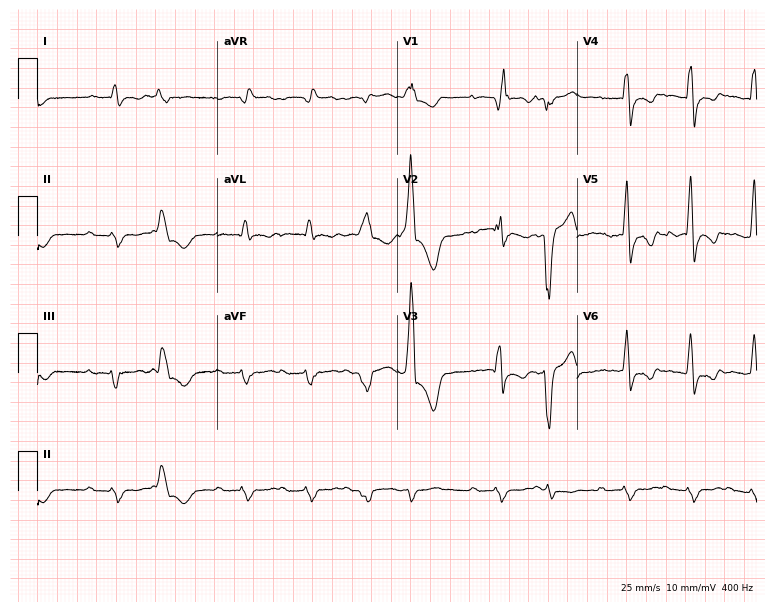
ECG (7.3-second recording at 400 Hz) — a female patient, 84 years old. Findings include first-degree AV block, right bundle branch block.